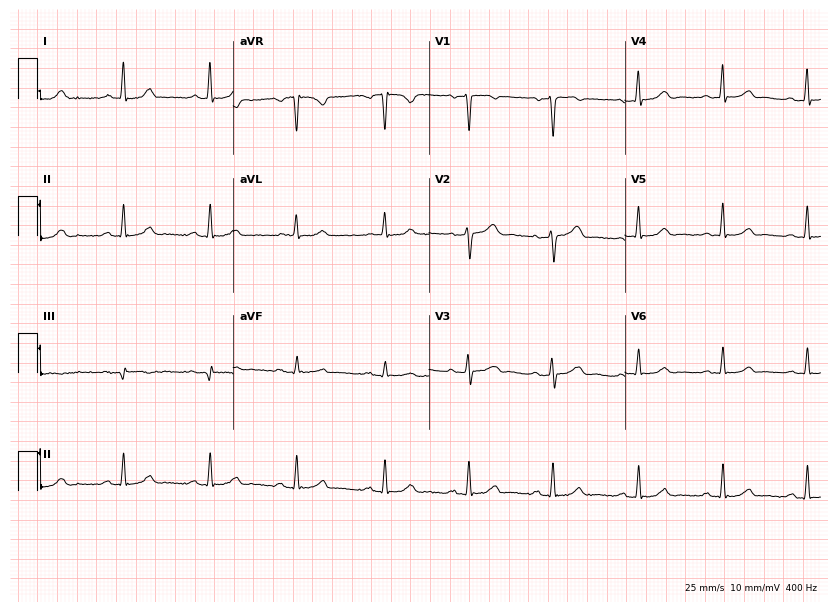
Electrocardiogram, a 41-year-old female patient. Of the six screened findings (first-degree AV block, right bundle branch block, left bundle branch block, sinus bradycardia, atrial fibrillation, sinus tachycardia), none is recorded.